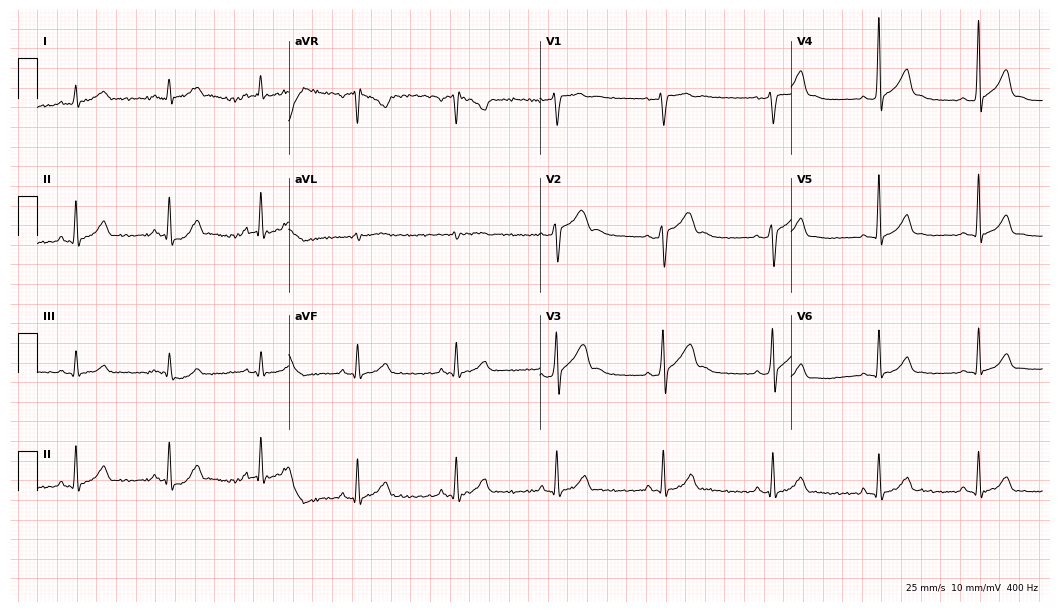
Electrocardiogram, a male patient, 39 years old. Overall reading on record: normal ECG.